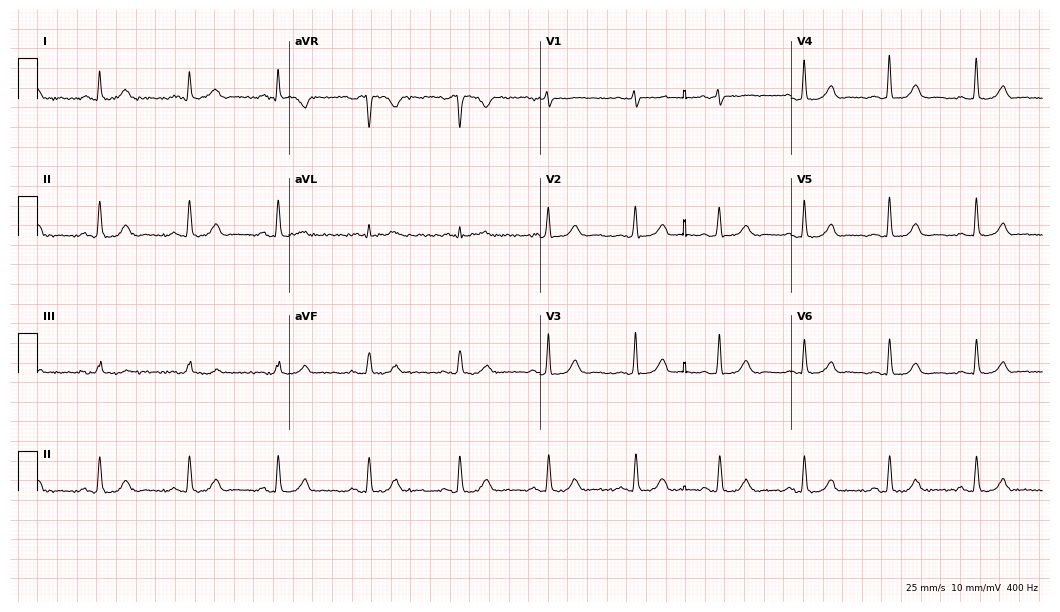
Standard 12-lead ECG recorded from a 43-year-old female patient (10.2-second recording at 400 Hz). Read as a normal ECG.